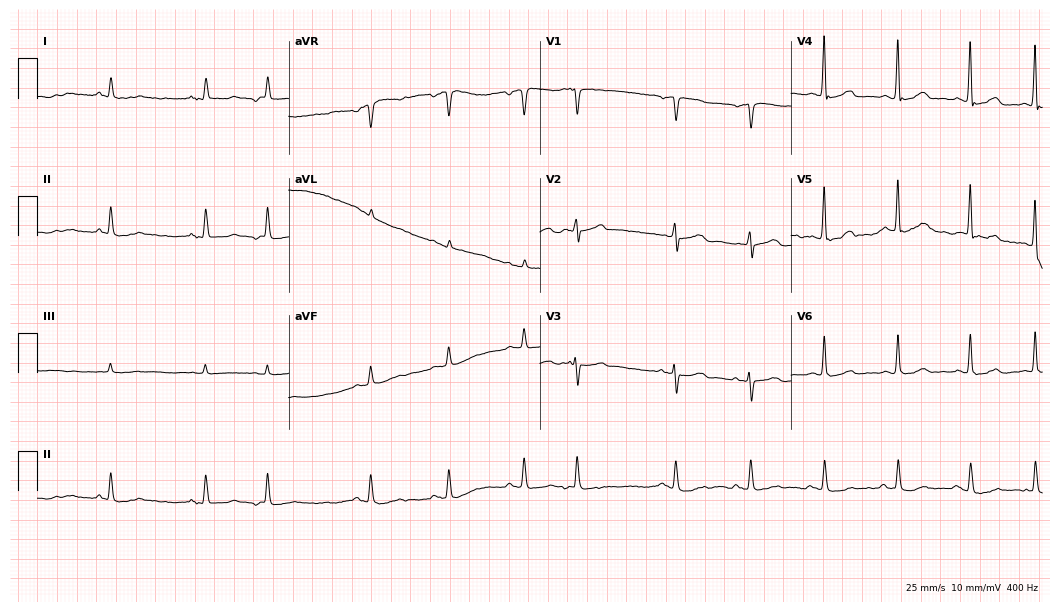
Electrocardiogram (10.2-second recording at 400 Hz), a male, 82 years old. Overall reading on record: normal ECG.